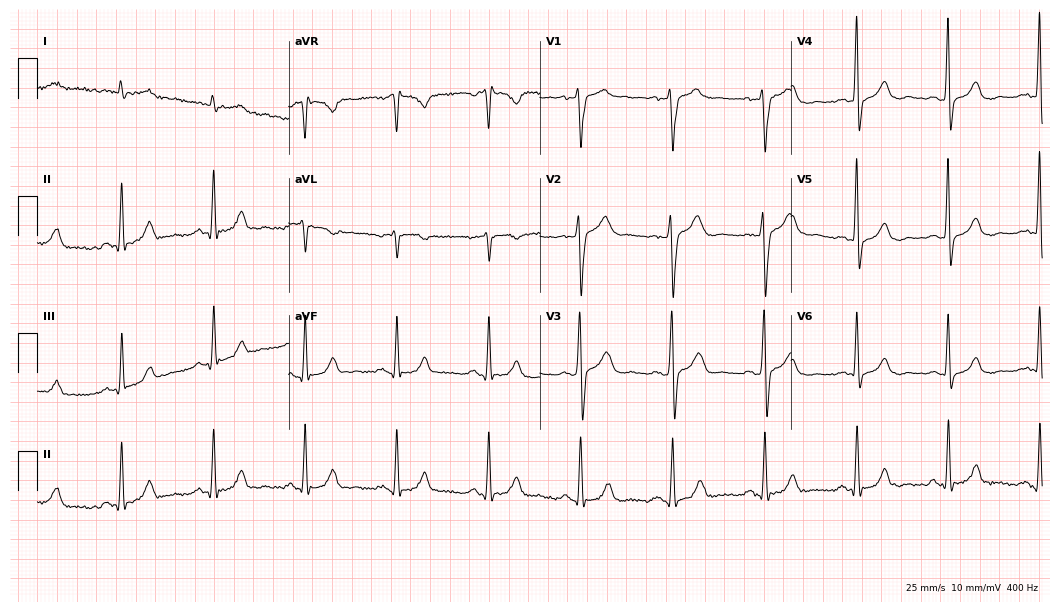
ECG (10.2-second recording at 400 Hz) — a 57-year-old male patient. Screened for six findings — first-degree AV block, right bundle branch block, left bundle branch block, sinus bradycardia, atrial fibrillation, sinus tachycardia — none is recorded.